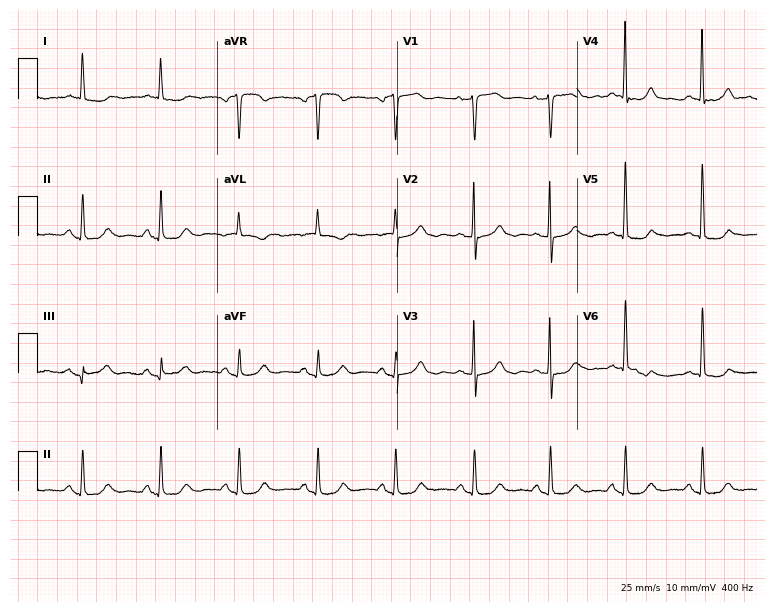
Resting 12-lead electrocardiogram. Patient: a woman, 61 years old. None of these six findings is recorded: first-degree AV block, right bundle branch block, left bundle branch block, sinus bradycardia, atrial fibrillation, sinus tachycardia.